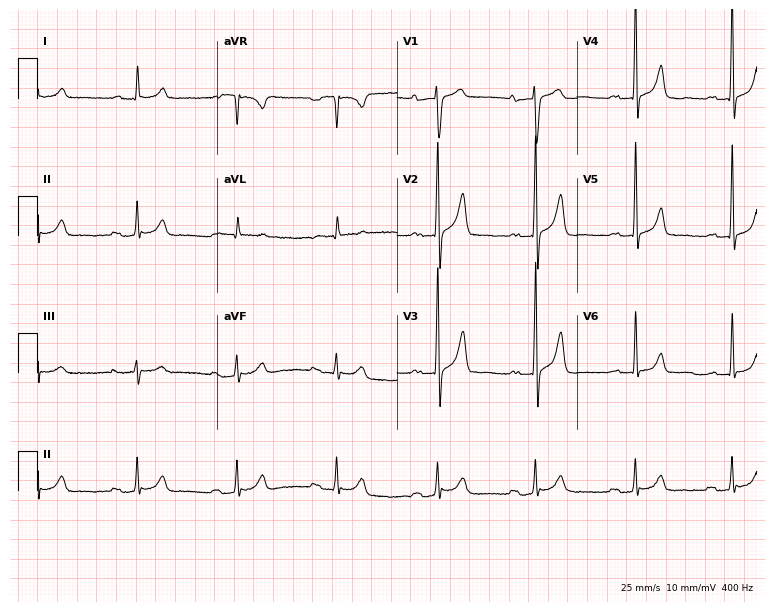
Resting 12-lead electrocardiogram (7.3-second recording at 400 Hz). Patient: a male, 62 years old. The tracing shows first-degree AV block.